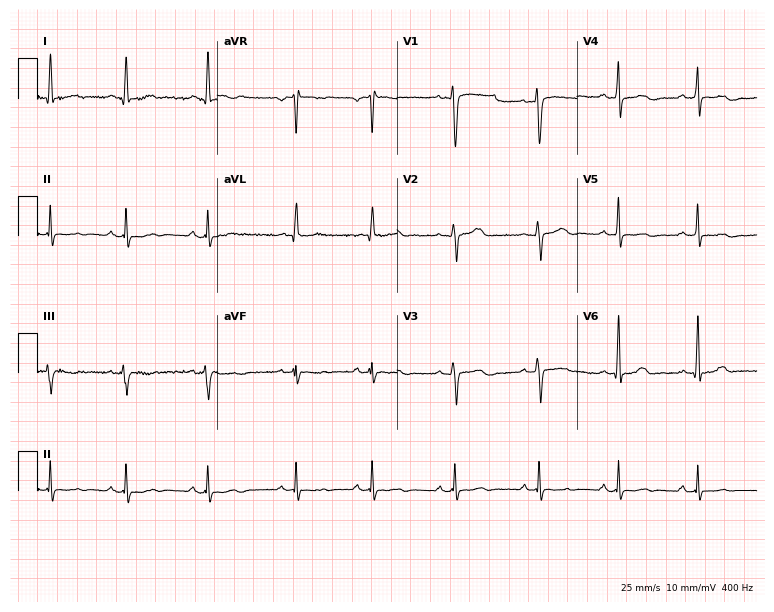
ECG — a female patient, 33 years old. Screened for six findings — first-degree AV block, right bundle branch block (RBBB), left bundle branch block (LBBB), sinus bradycardia, atrial fibrillation (AF), sinus tachycardia — none is recorded.